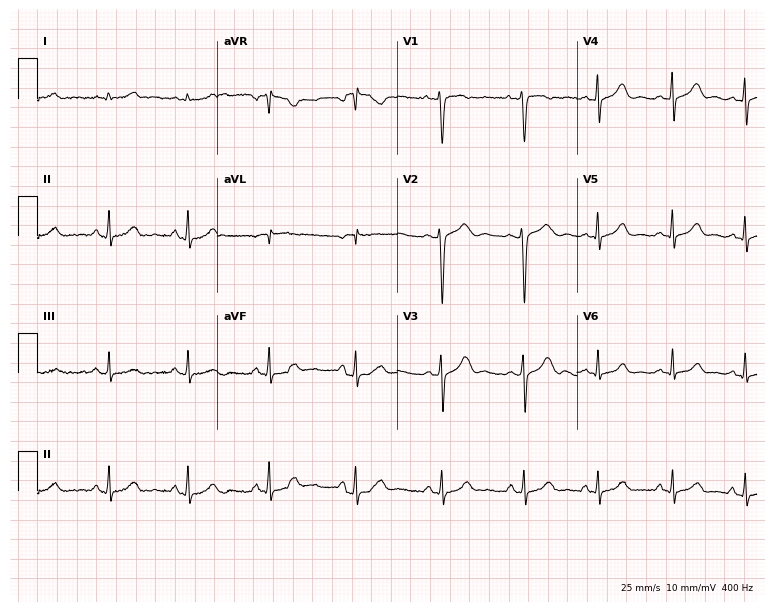
12-lead ECG from a 19-year-old female (7.3-second recording at 400 Hz). Recorded interpretation: within normal limits.